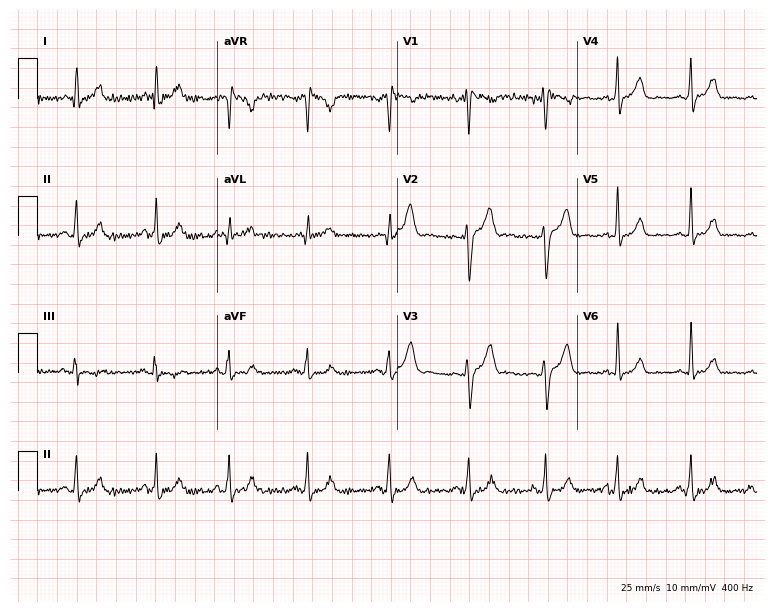
12-lead ECG (7.3-second recording at 400 Hz) from a 33-year-old male. Labelled as a normal ECG.